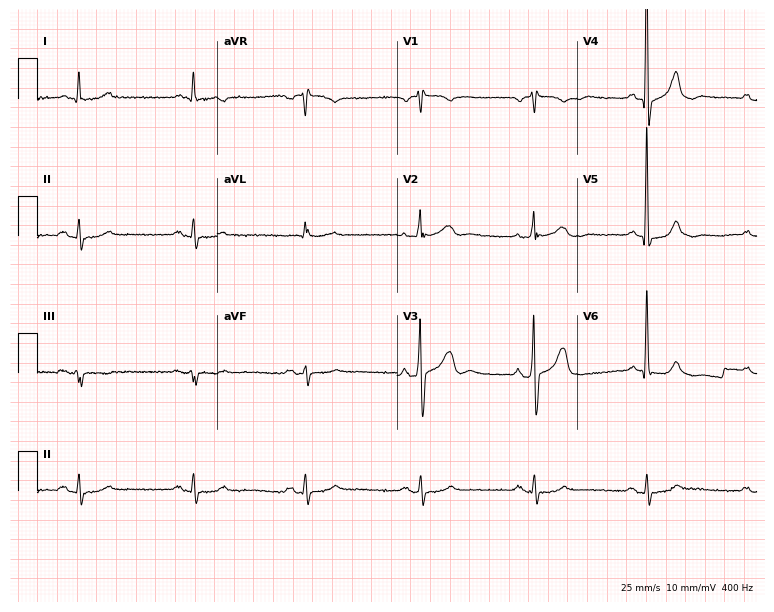
Electrocardiogram, a man, 77 years old. Of the six screened findings (first-degree AV block, right bundle branch block (RBBB), left bundle branch block (LBBB), sinus bradycardia, atrial fibrillation (AF), sinus tachycardia), none is recorded.